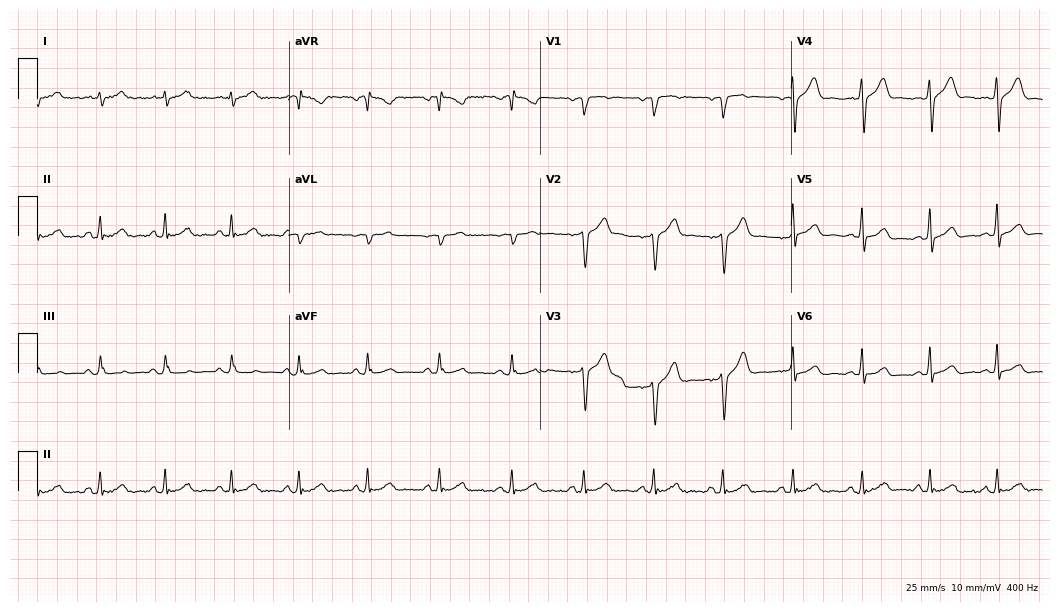
12-lead ECG (10.2-second recording at 400 Hz) from a female, 55 years old. Screened for six findings — first-degree AV block, right bundle branch block, left bundle branch block, sinus bradycardia, atrial fibrillation, sinus tachycardia — none is recorded. Only these six findings were labelled.